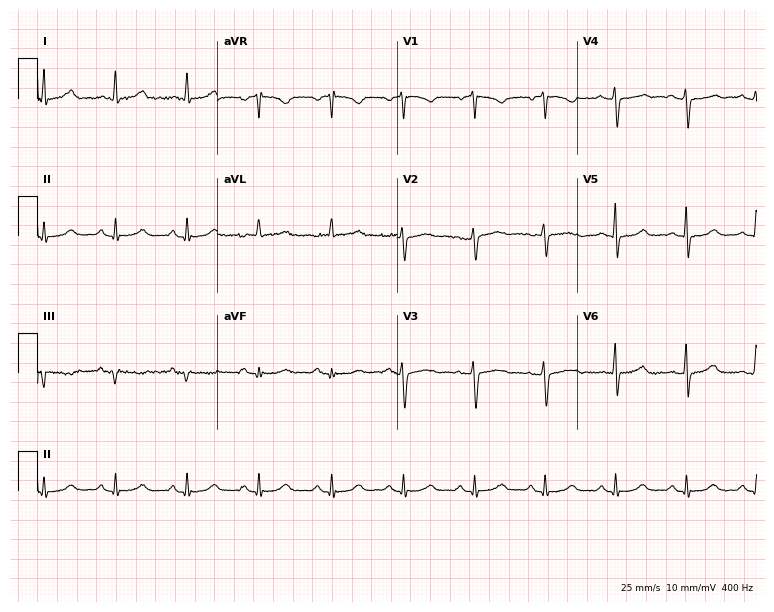
12-lead ECG from a 61-year-old female. Labelled as a normal ECG.